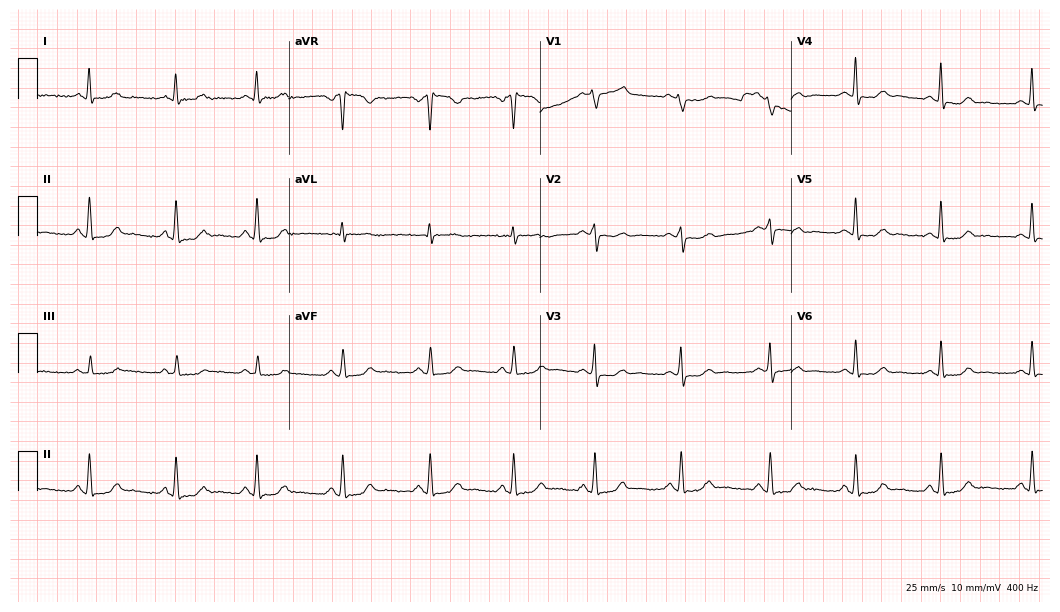
12-lead ECG from a female patient, 40 years old. Recorded interpretation: within normal limits.